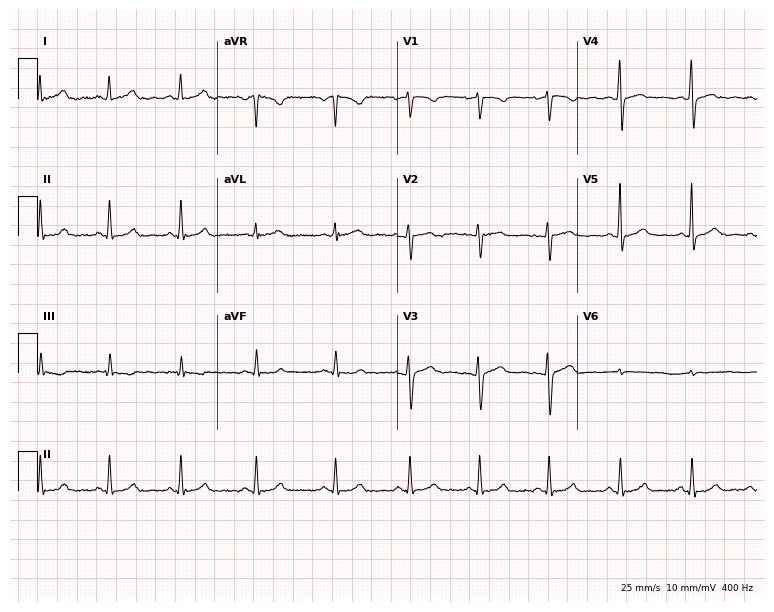
Resting 12-lead electrocardiogram. Patient: a female, 24 years old. Read as a normal ECG.